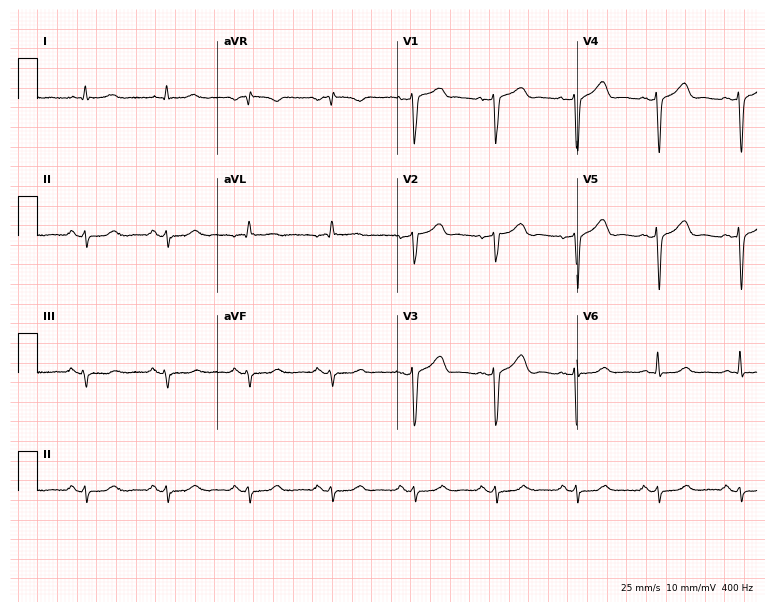
Resting 12-lead electrocardiogram (7.3-second recording at 400 Hz). Patient: a 72-year-old man. None of these six findings is recorded: first-degree AV block, right bundle branch block (RBBB), left bundle branch block (LBBB), sinus bradycardia, atrial fibrillation (AF), sinus tachycardia.